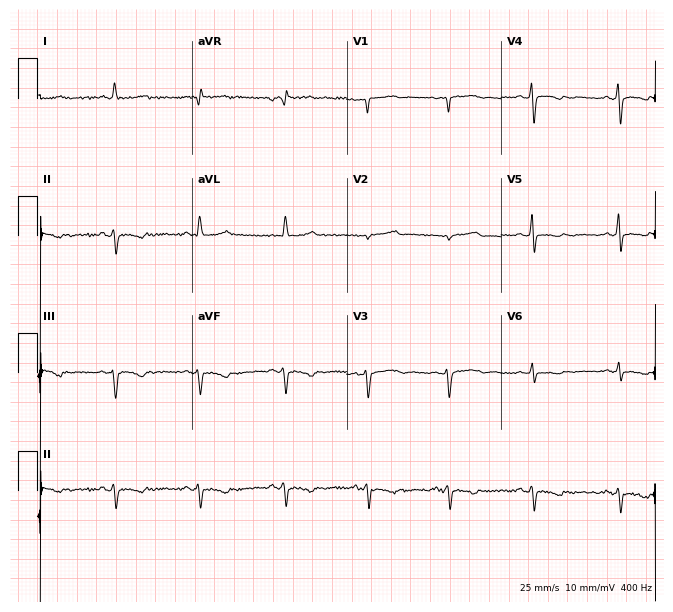
Electrocardiogram (6.3-second recording at 400 Hz), a 49-year-old woman. Of the six screened findings (first-degree AV block, right bundle branch block (RBBB), left bundle branch block (LBBB), sinus bradycardia, atrial fibrillation (AF), sinus tachycardia), none is recorded.